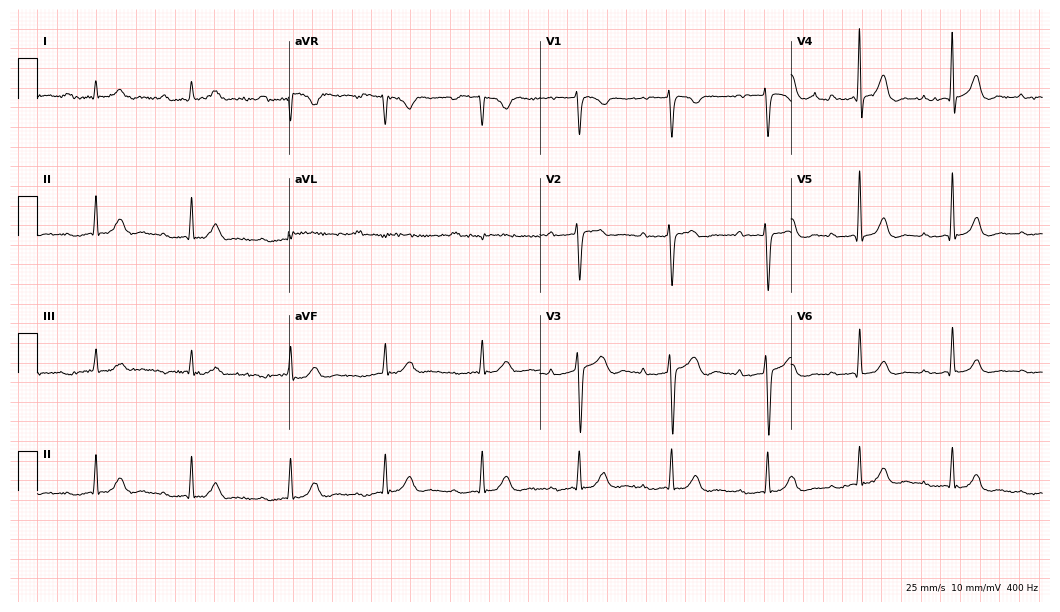
12-lead ECG from a male, 38 years old (10.2-second recording at 400 Hz). No first-degree AV block, right bundle branch block, left bundle branch block, sinus bradycardia, atrial fibrillation or sinus tachycardia recorded for this tracing.